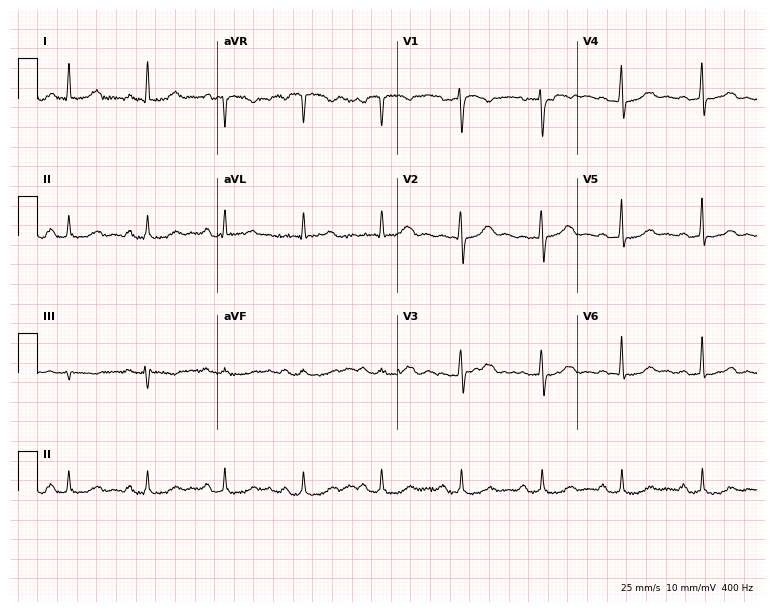
12-lead ECG (7.3-second recording at 400 Hz) from a 48-year-old female. Screened for six findings — first-degree AV block, right bundle branch block, left bundle branch block, sinus bradycardia, atrial fibrillation, sinus tachycardia — none is recorded. Findings outside these six are not listed.